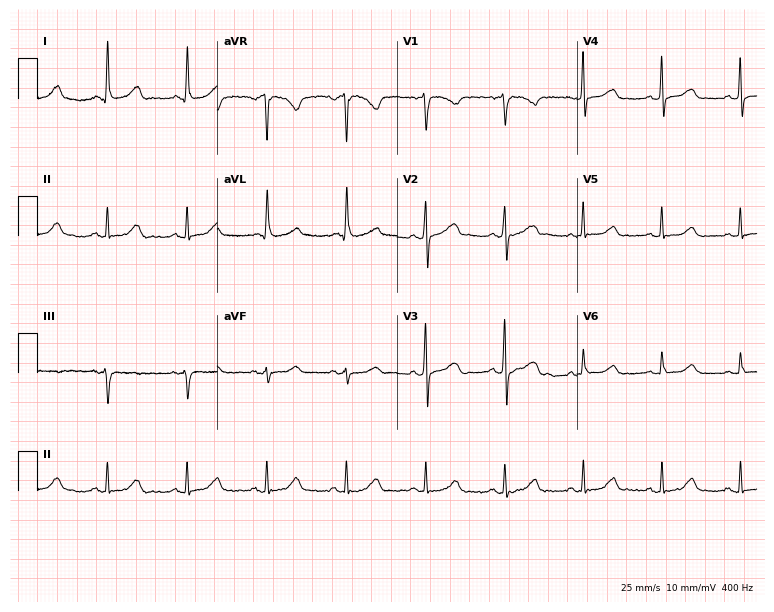
Resting 12-lead electrocardiogram (7.3-second recording at 400 Hz). Patient: a 67-year-old female. Read as a normal ECG.